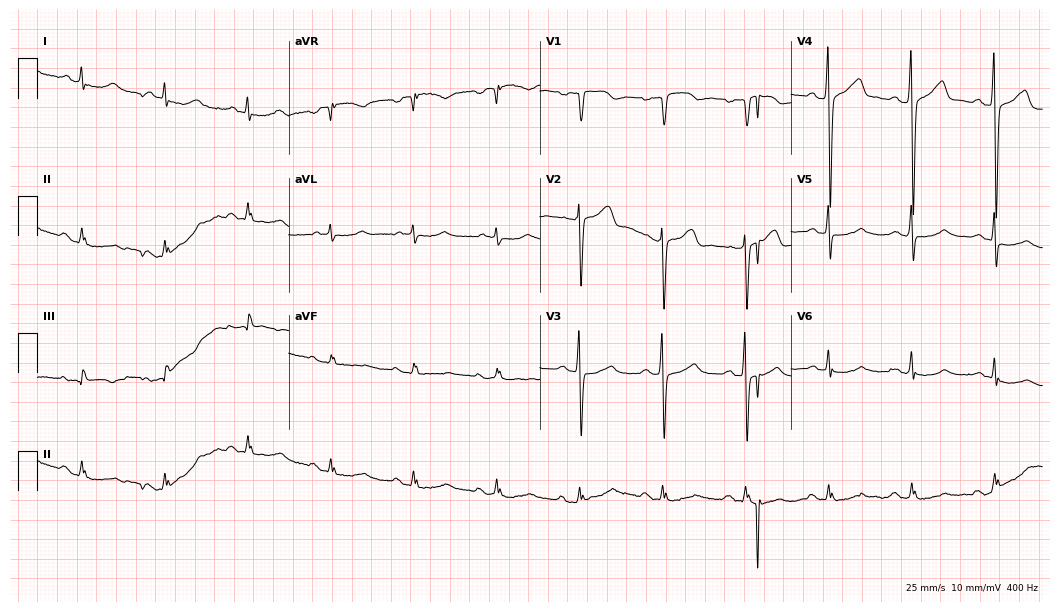
Standard 12-lead ECG recorded from a man, 76 years old. Read as a normal ECG.